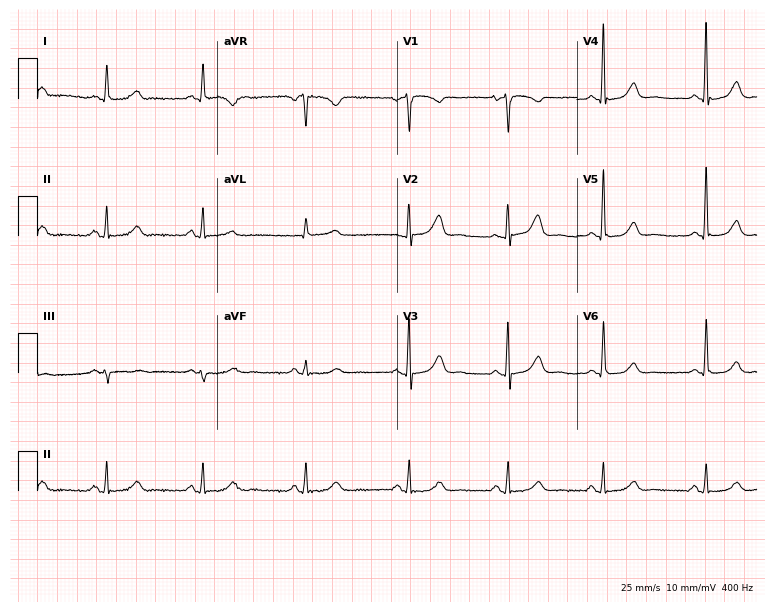
12-lead ECG (7.3-second recording at 400 Hz) from a woman, 62 years old. Labelled as a normal ECG.